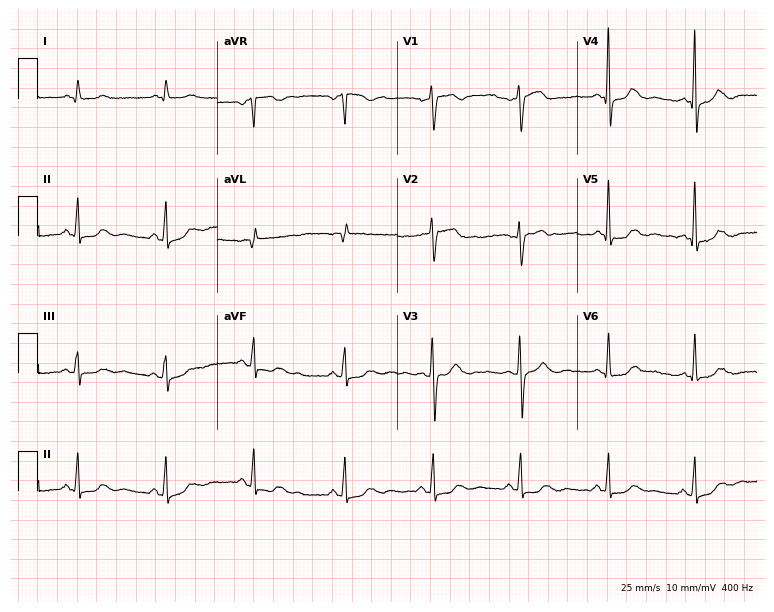
12-lead ECG from a 58-year-old female patient (7.3-second recording at 400 Hz). No first-degree AV block, right bundle branch block, left bundle branch block, sinus bradycardia, atrial fibrillation or sinus tachycardia recorded for this tracing.